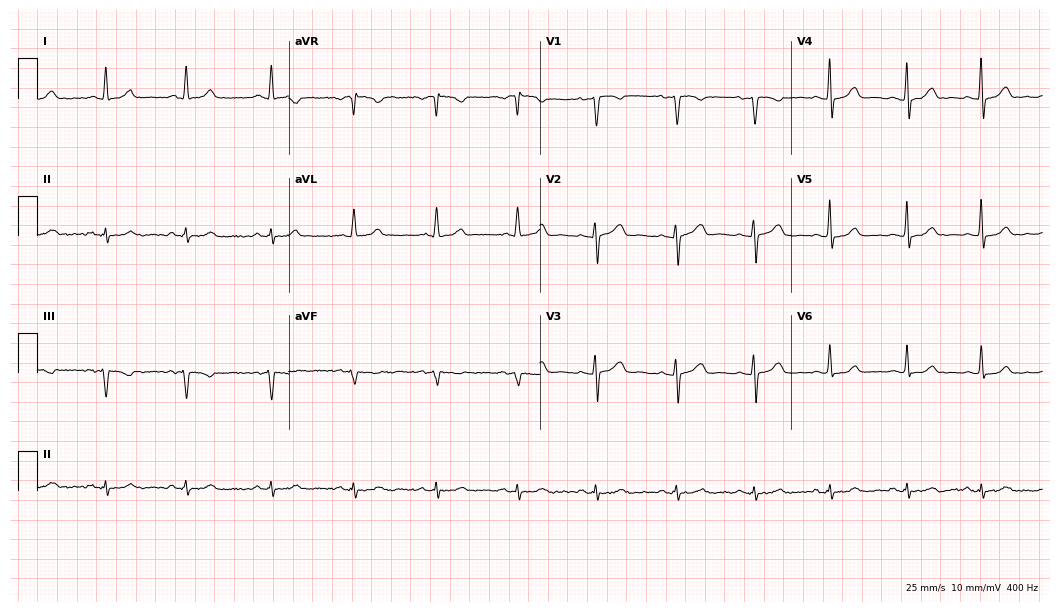
12-lead ECG (10.2-second recording at 400 Hz) from a 32-year-old woman. Screened for six findings — first-degree AV block, right bundle branch block, left bundle branch block, sinus bradycardia, atrial fibrillation, sinus tachycardia — none is recorded.